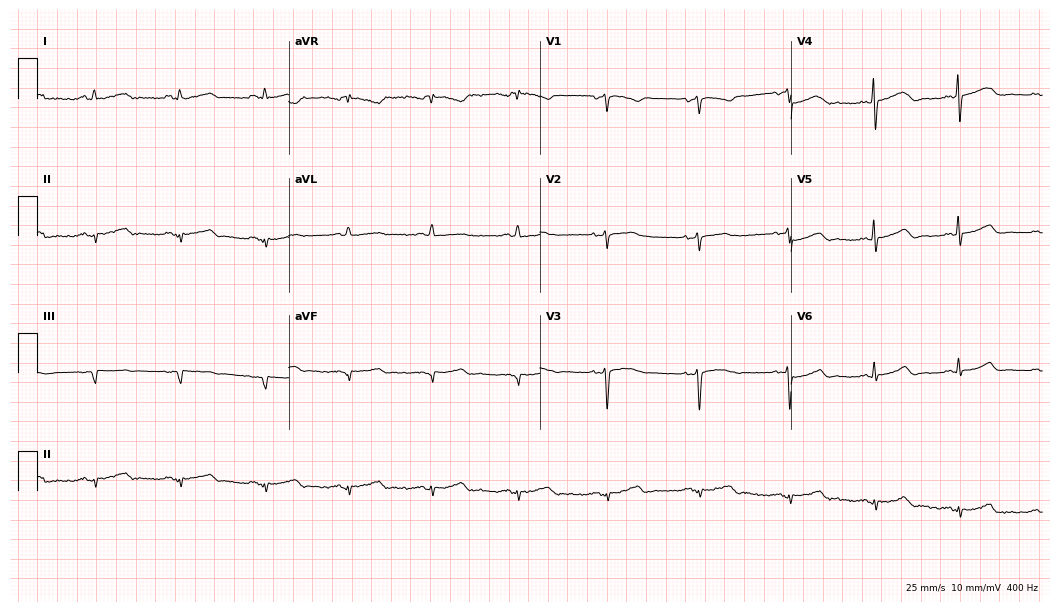
12-lead ECG from a female patient, 45 years old. Screened for six findings — first-degree AV block, right bundle branch block, left bundle branch block, sinus bradycardia, atrial fibrillation, sinus tachycardia — none is recorded. Findings outside these six are not listed.